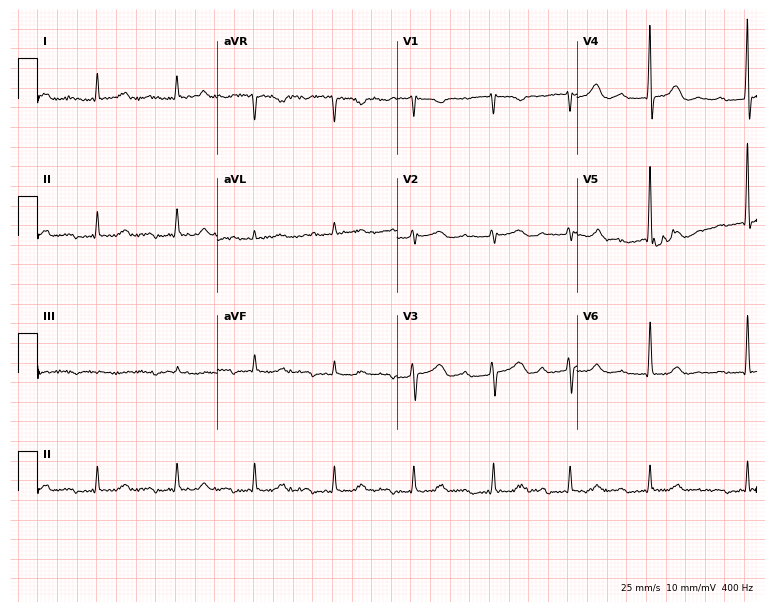
12-lead ECG (7.3-second recording at 400 Hz) from a 74-year-old female patient. Findings include first-degree AV block.